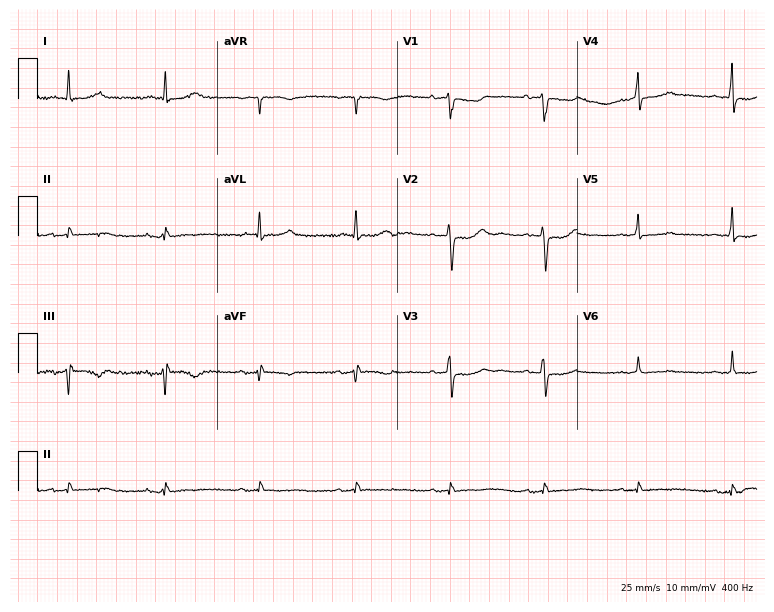
12-lead ECG (7.3-second recording at 400 Hz) from a woman, 67 years old. Screened for six findings — first-degree AV block, right bundle branch block, left bundle branch block, sinus bradycardia, atrial fibrillation, sinus tachycardia — none is recorded. Only these six findings were labelled.